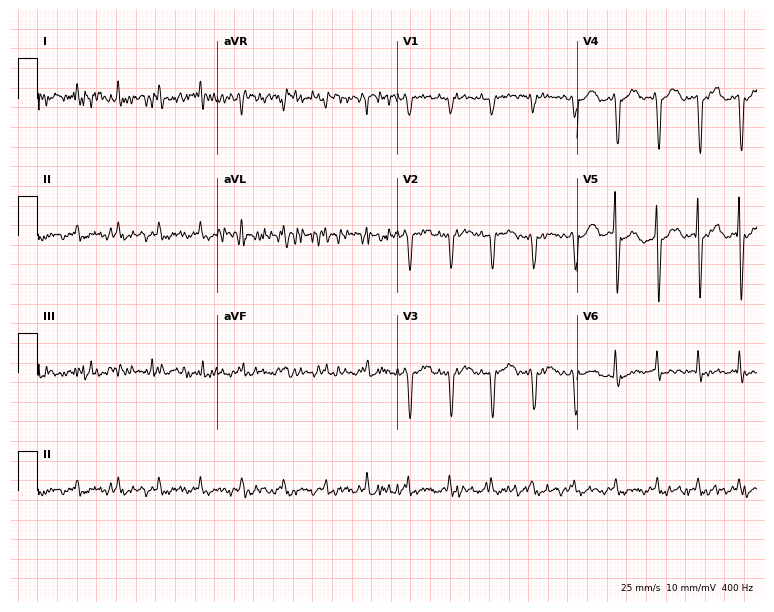
12-lead ECG (7.3-second recording at 400 Hz) from an 82-year-old male patient. Screened for six findings — first-degree AV block, right bundle branch block, left bundle branch block, sinus bradycardia, atrial fibrillation, sinus tachycardia — none is recorded. Only these six findings were labelled.